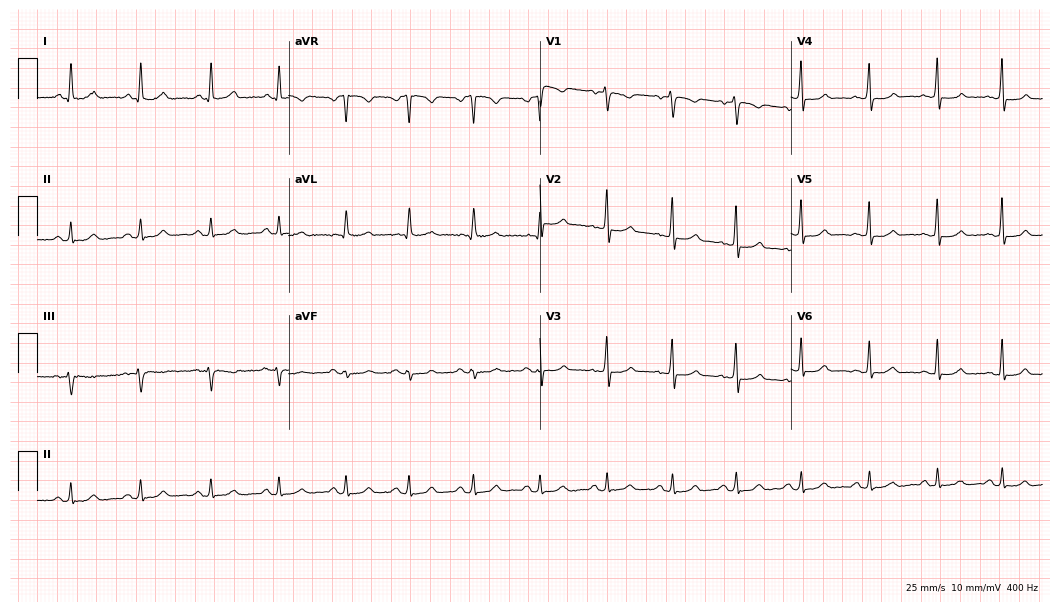
12-lead ECG from a female, 46 years old (10.2-second recording at 400 Hz). No first-degree AV block, right bundle branch block, left bundle branch block, sinus bradycardia, atrial fibrillation or sinus tachycardia recorded for this tracing.